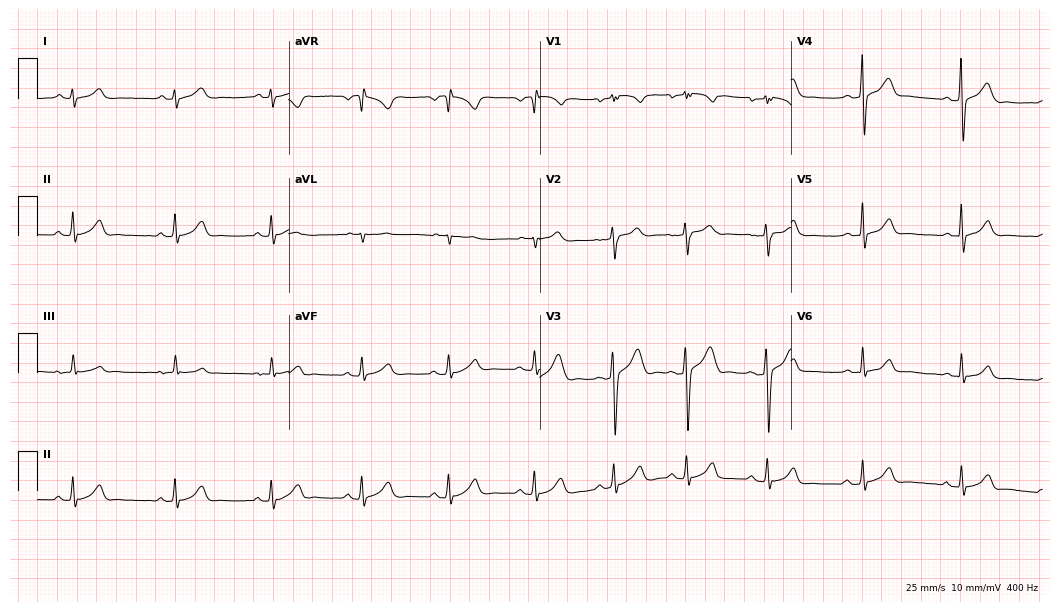
Electrocardiogram (10.2-second recording at 400 Hz), a male patient, 31 years old. Overall reading on record: normal ECG.